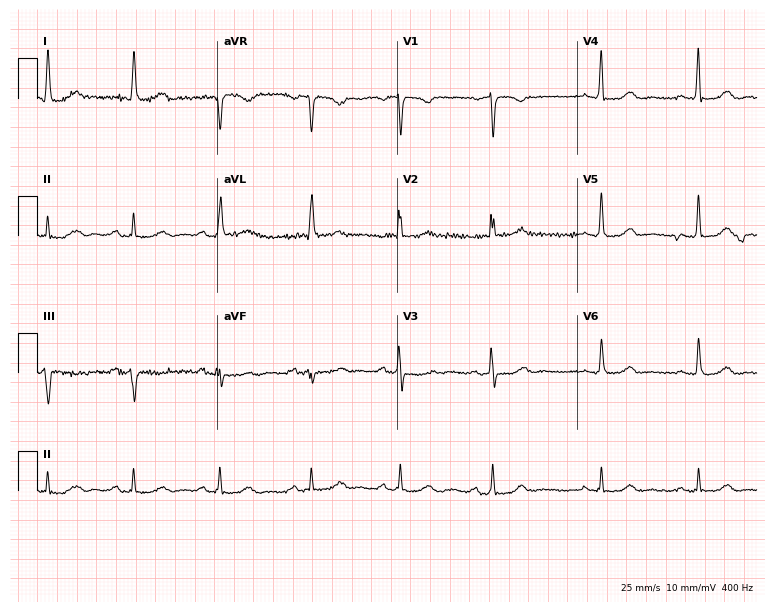
Resting 12-lead electrocardiogram (7.3-second recording at 400 Hz). Patient: a woman, 83 years old. Read as a normal ECG.